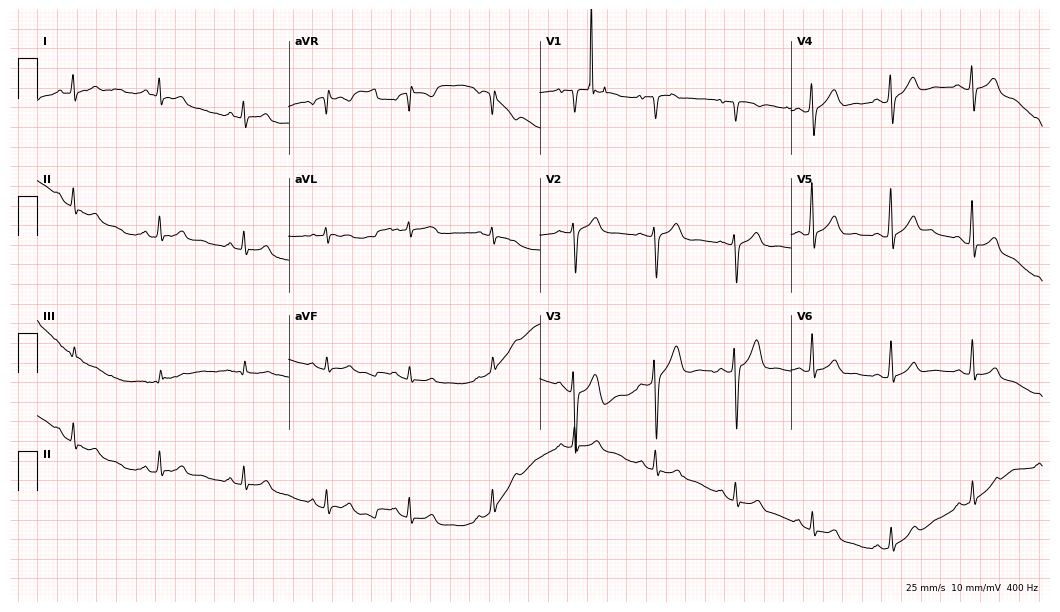
ECG — a 32-year-old male. Labelled as a normal ECG.